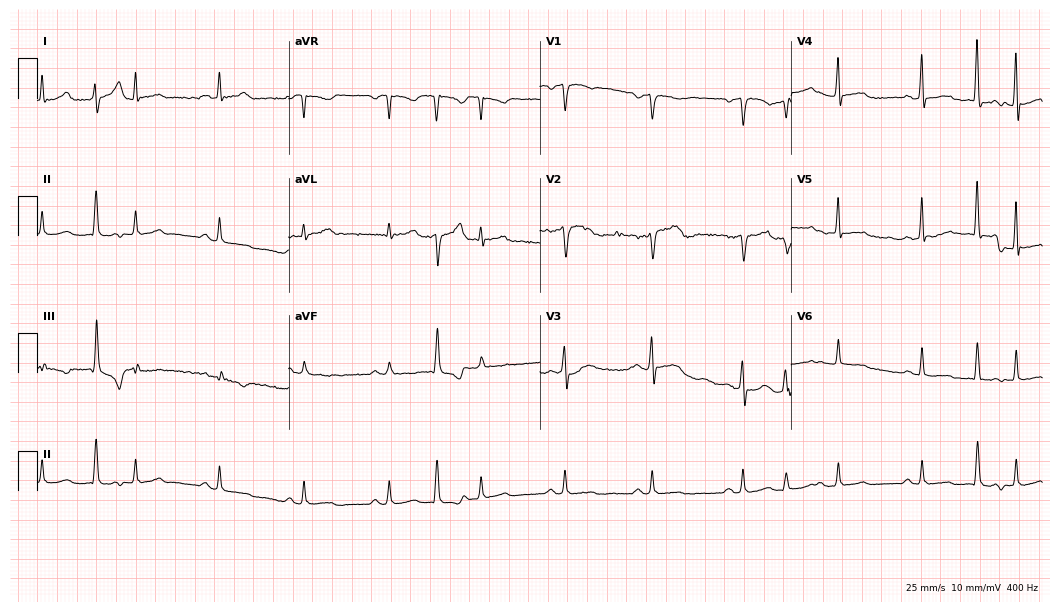
Standard 12-lead ECG recorded from a male, 47 years old. None of these six findings is recorded: first-degree AV block, right bundle branch block (RBBB), left bundle branch block (LBBB), sinus bradycardia, atrial fibrillation (AF), sinus tachycardia.